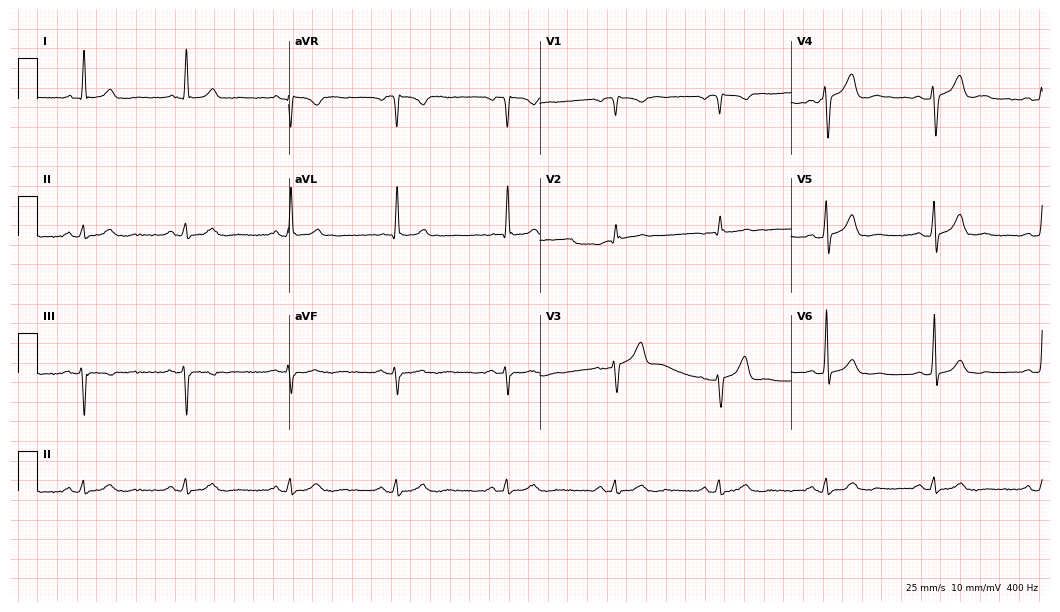
Standard 12-lead ECG recorded from a man, 54 years old. Read as a normal ECG.